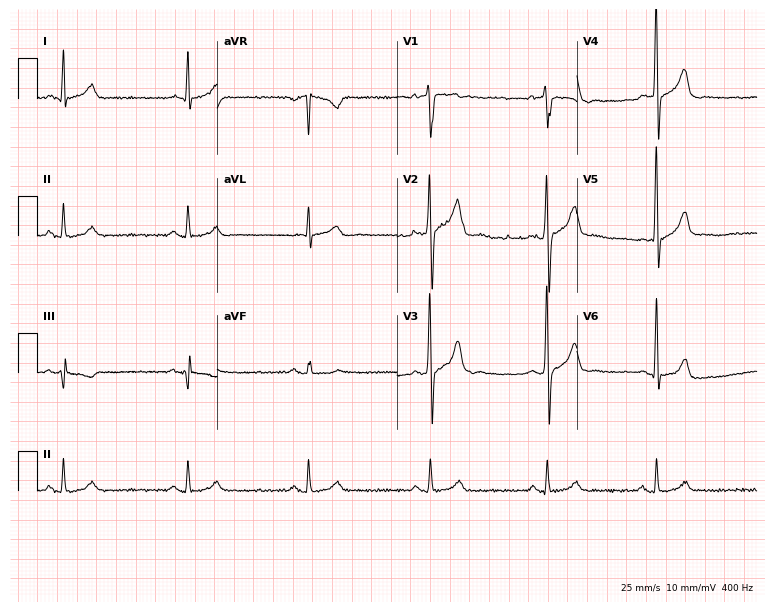
Resting 12-lead electrocardiogram. Patient: a 41-year-old man. Read as a normal ECG.